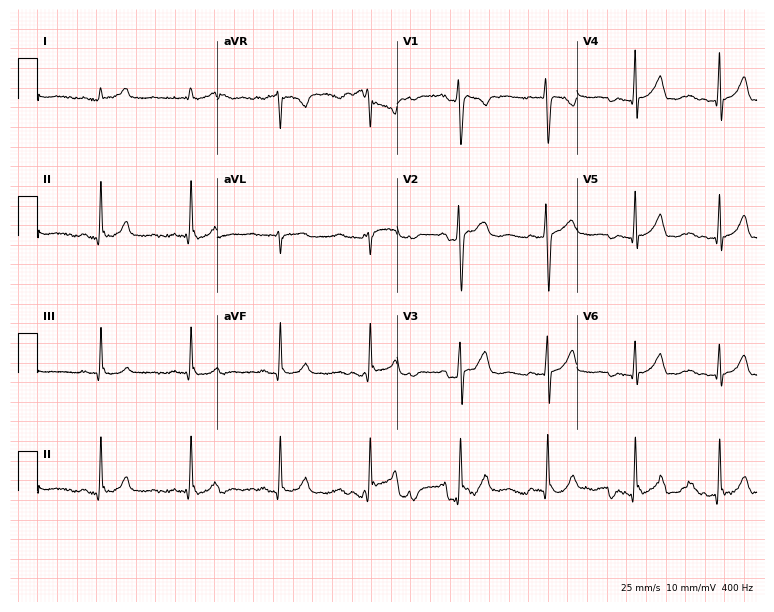
12-lead ECG (7.3-second recording at 400 Hz) from a female, 37 years old. Screened for six findings — first-degree AV block, right bundle branch block, left bundle branch block, sinus bradycardia, atrial fibrillation, sinus tachycardia — none is recorded.